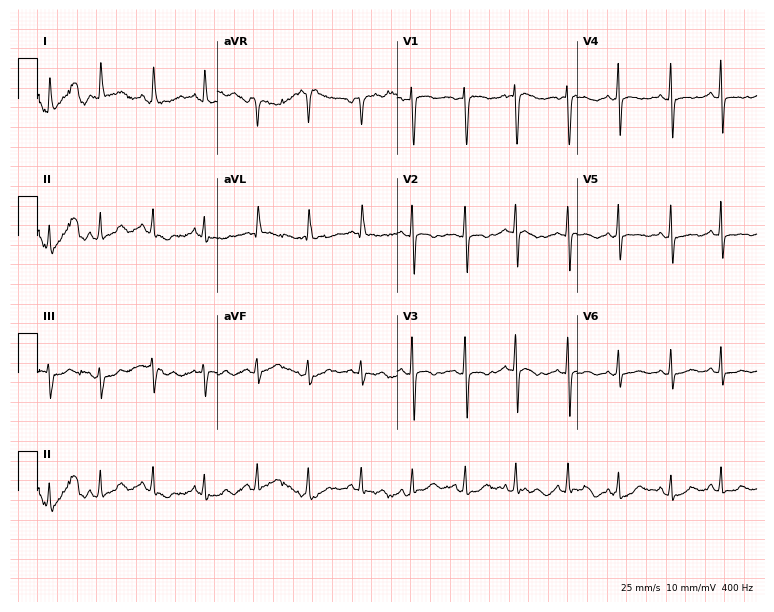
Resting 12-lead electrocardiogram (7.3-second recording at 400 Hz). Patient: a woman, 65 years old. None of these six findings is recorded: first-degree AV block, right bundle branch block, left bundle branch block, sinus bradycardia, atrial fibrillation, sinus tachycardia. Only these six findings were labelled.